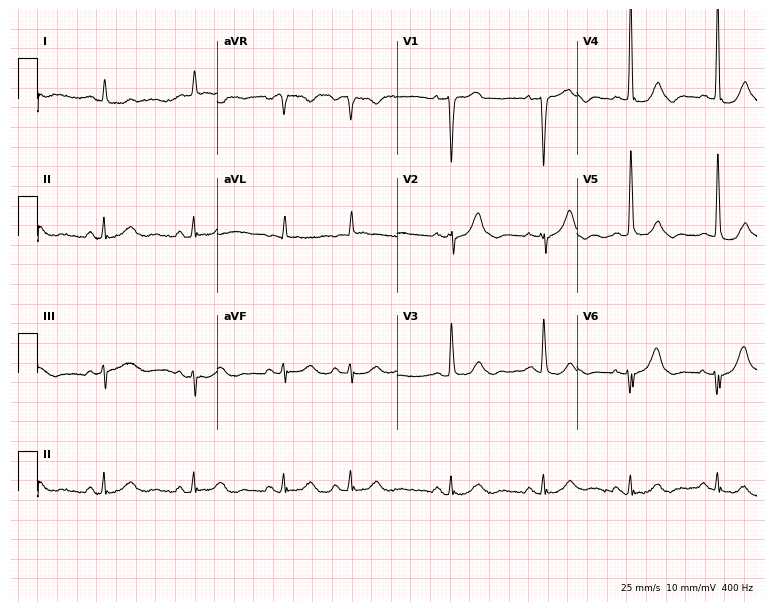
Electrocardiogram (7.3-second recording at 400 Hz), a 77-year-old man. Of the six screened findings (first-degree AV block, right bundle branch block, left bundle branch block, sinus bradycardia, atrial fibrillation, sinus tachycardia), none is recorded. Other findings, if any, are not listed.